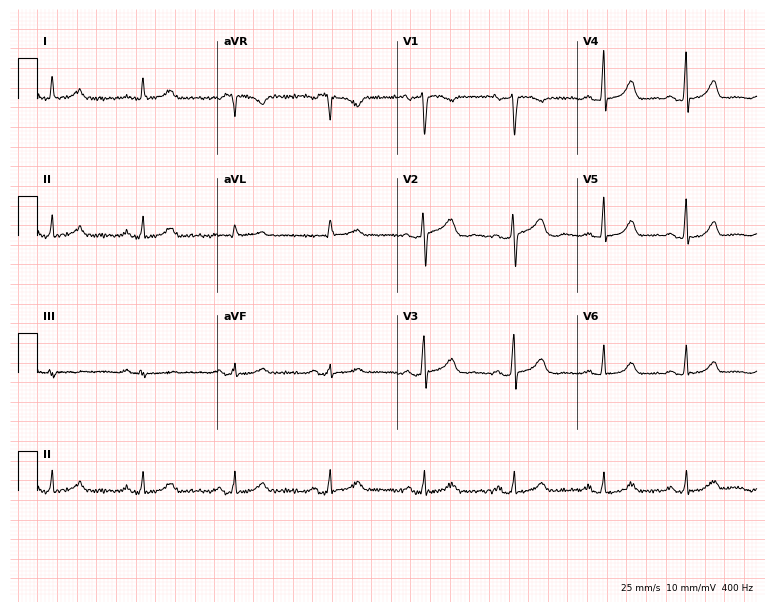
Resting 12-lead electrocardiogram. Patient: a 48-year-old woman. None of these six findings is recorded: first-degree AV block, right bundle branch block, left bundle branch block, sinus bradycardia, atrial fibrillation, sinus tachycardia.